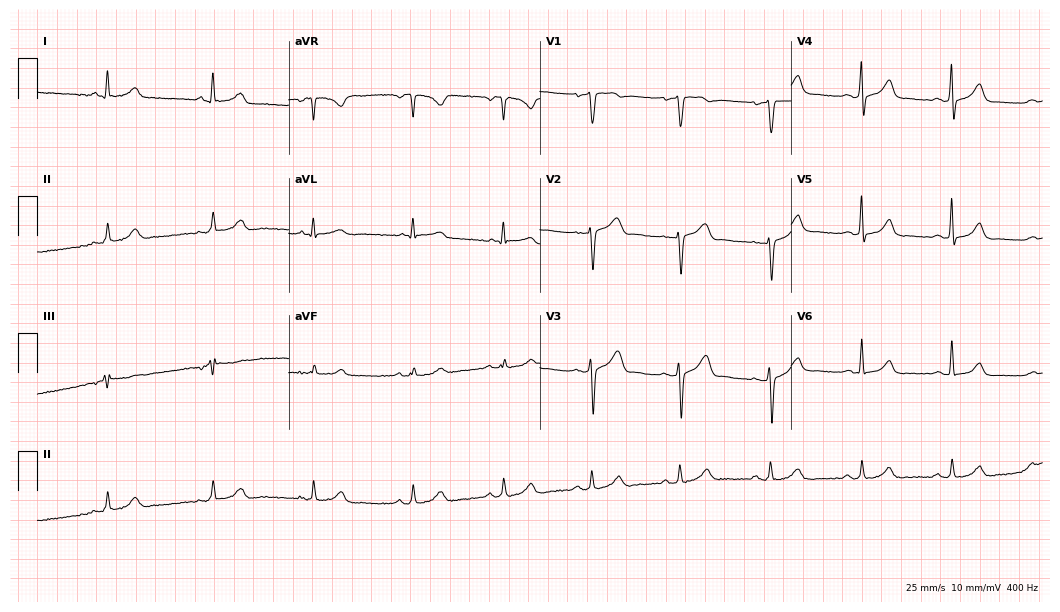
ECG (10.2-second recording at 400 Hz) — a man, 44 years old. Screened for six findings — first-degree AV block, right bundle branch block, left bundle branch block, sinus bradycardia, atrial fibrillation, sinus tachycardia — none is recorded. Findings outside these six are not listed.